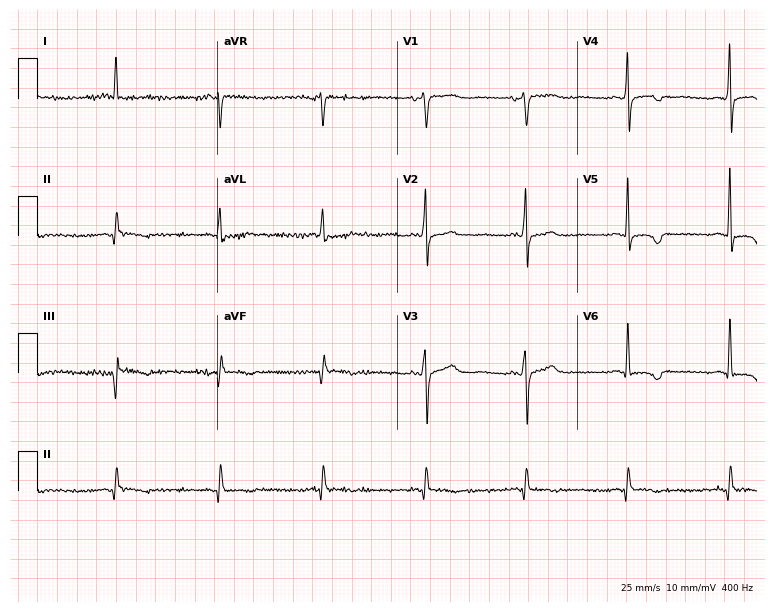
Electrocardiogram (7.3-second recording at 400 Hz), a 60-year-old woman. Of the six screened findings (first-degree AV block, right bundle branch block, left bundle branch block, sinus bradycardia, atrial fibrillation, sinus tachycardia), none is recorded. Other findings, if any, are not listed.